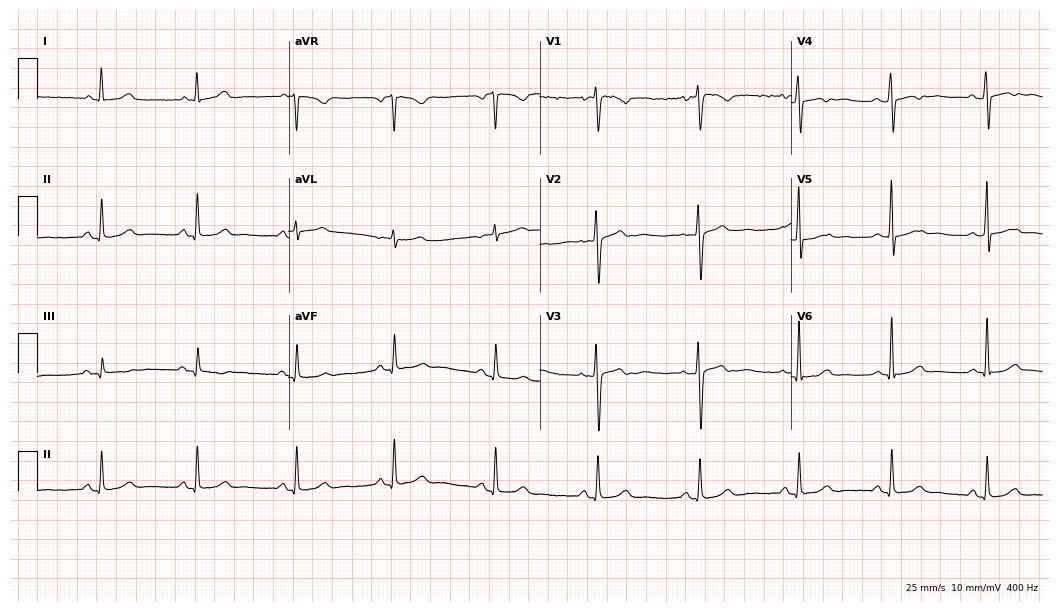
12-lead ECG from a woman, 34 years old (10.2-second recording at 400 Hz). No first-degree AV block, right bundle branch block, left bundle branch block, sinus bradycardia, atrial fibrillation or sinus tachycardia recorded for this tracing. Only these six findings were labelled.